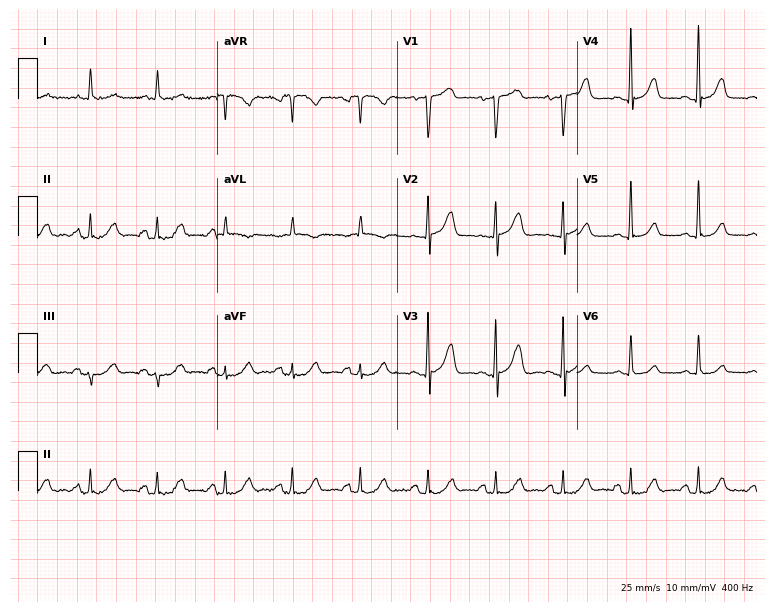
12-lead ECG (7.3-second recording at 400 Hz) from a female, 77 years old. Screened for six findings — first-degree AV block, right bundle branch block (RBBB), left bundle branch block (LBBB), sinus bradycardia, atrial fibrillation (AF), sinus tachycardia — none is recorded.